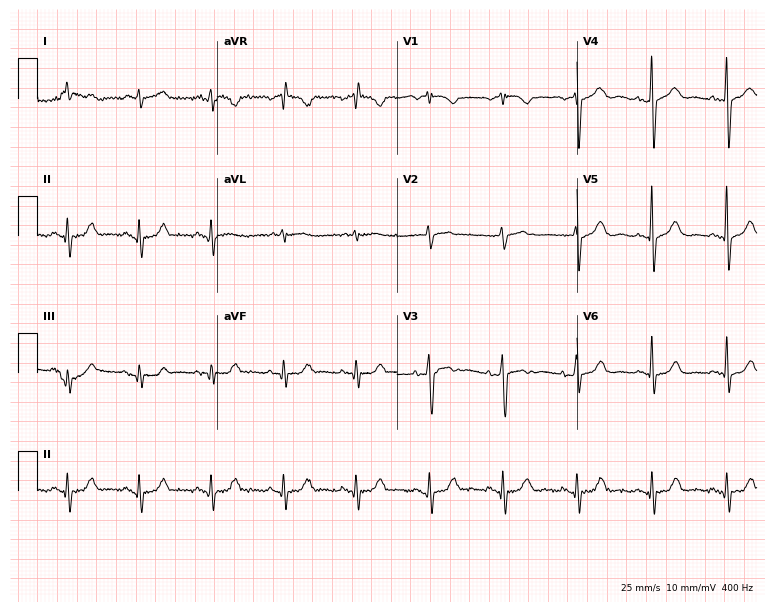
Resting 12-lead electrocardiogram. Patient: a 68-year-old woman. Read as a normal ECG.